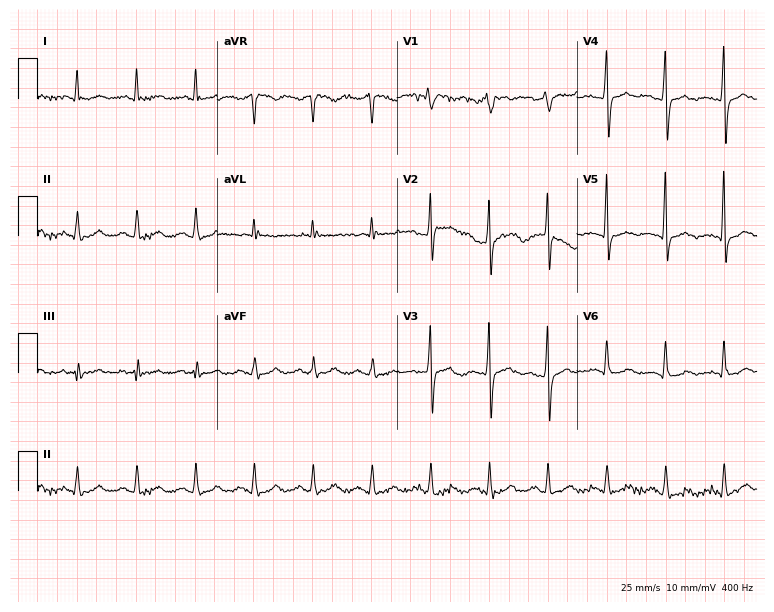
Resting 12-lead electrocardiogram. Patient: a woman, 69 years old. The tracing shows sinus tachycardia (a sinus rate of 100 beats per minute or more).